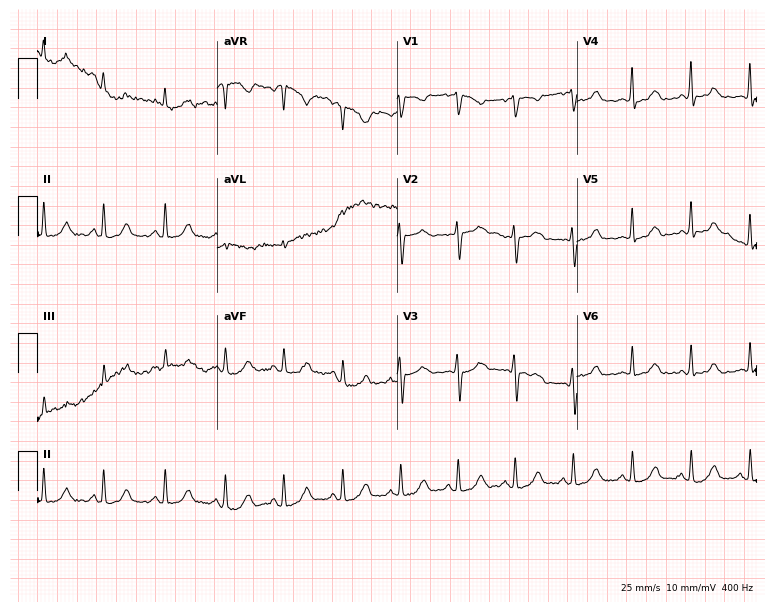
Resting 12-lead electrocardiogram. Patient: a female, 32 years old. None of these six findings is recorded: first-degree AV block, right bundle branch block, left bundle branch block, sinus bradycardia, atrial fibrillation, sinus tachycardia.